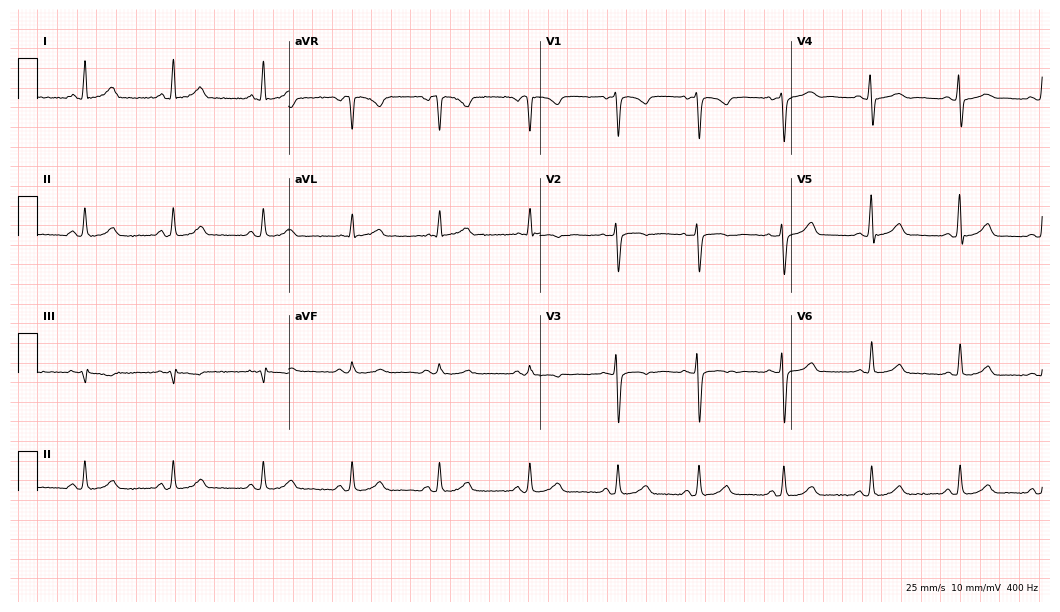
ECG (10.2-second recording at 400 Hz) — a female, 40 years old. Labelled as a normal ECG.